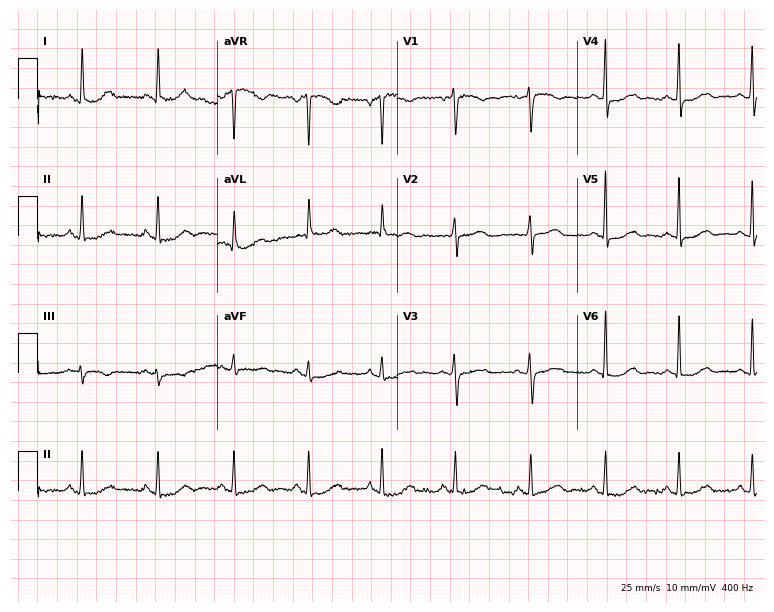
ECG (7.3-second recording at 400 Hz) — a 66-year-old woman. Screened for six findings — first-degree AV block, right bundle branch block (RBBB), left bundle branch block (LBBB), sinus bradycardia, atrial fibrillation (AF), sinus tachycardia — none is recorded.